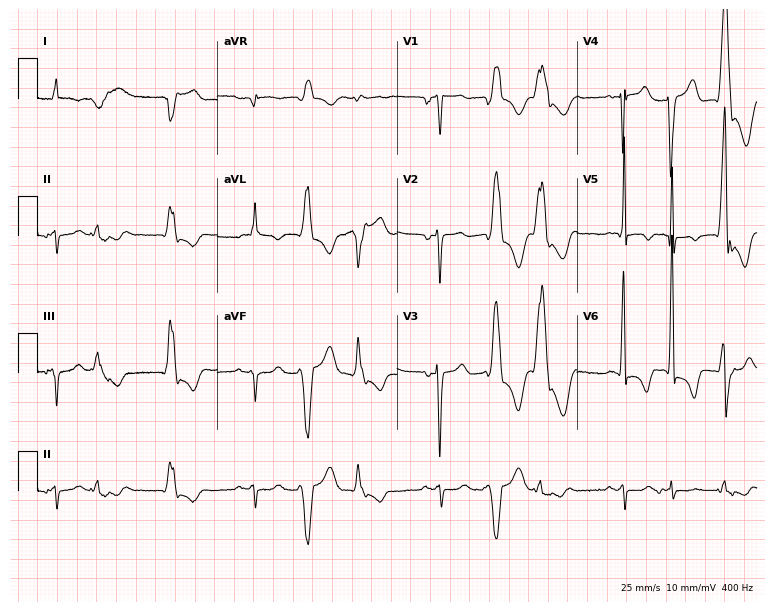
12-lead ECG from an 83-year-old man (7.3-second recording at 400 Hz). Recorded interpretation: within normal limits.